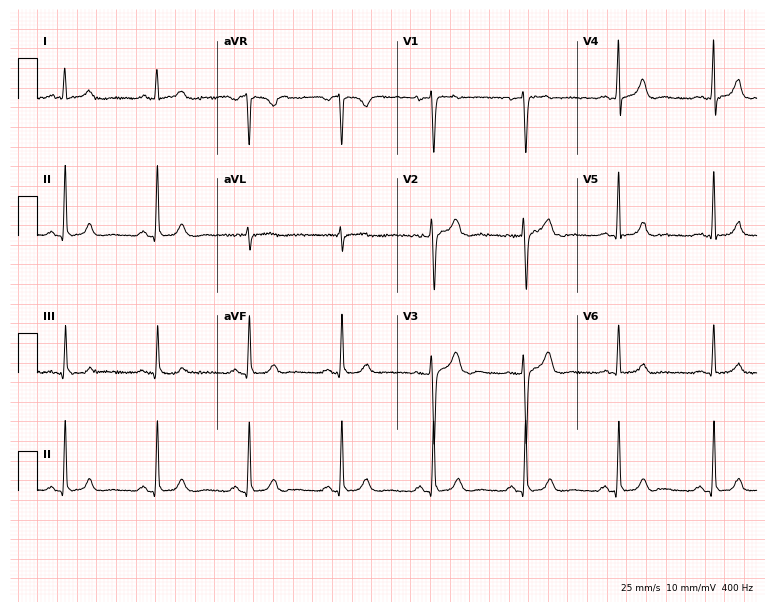
Electrocardiogram (7.3-second recording at 400 Hz), a male patient, 50 years old. Overall reading on record: normal ECG.